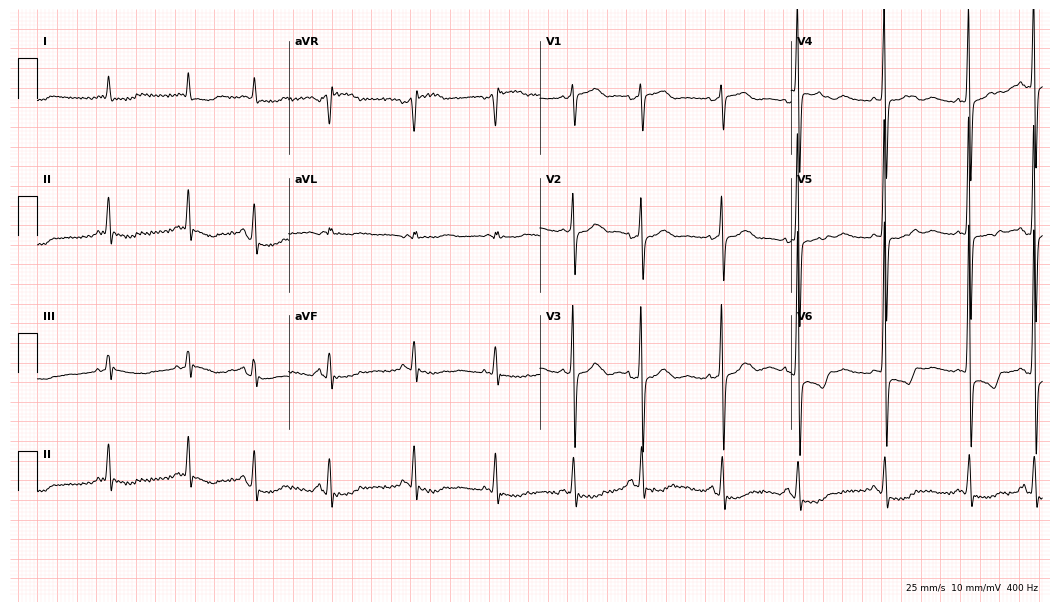
12-lead ECG from an 82-year-old woman. No first-degree AV block, right bundle branch block (RBBB), left bundle branch block (LBBB), sinus bradycardia, atrial fibrillation (AF) or sinus tachycardia recorded for this tracing.